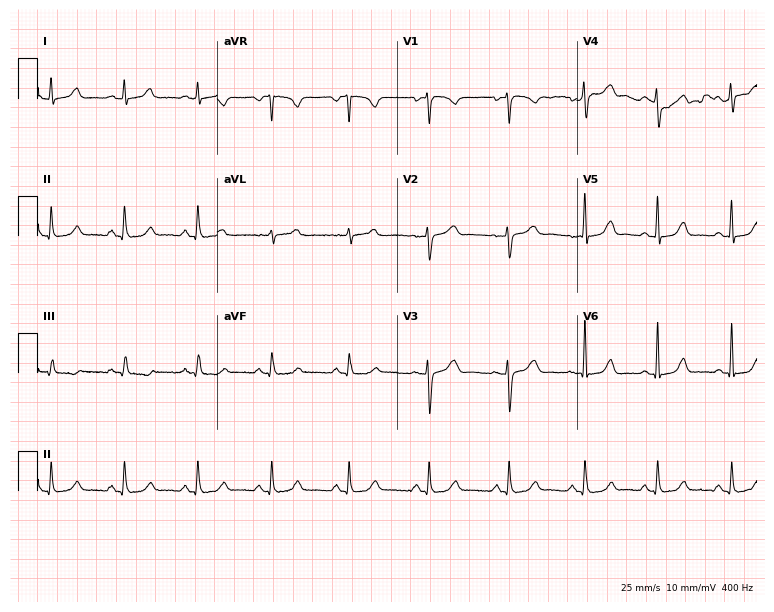
ECG (7.3-second recording at 400 Hz) — a 37-year-old woman. Labelled as a normal ECG.